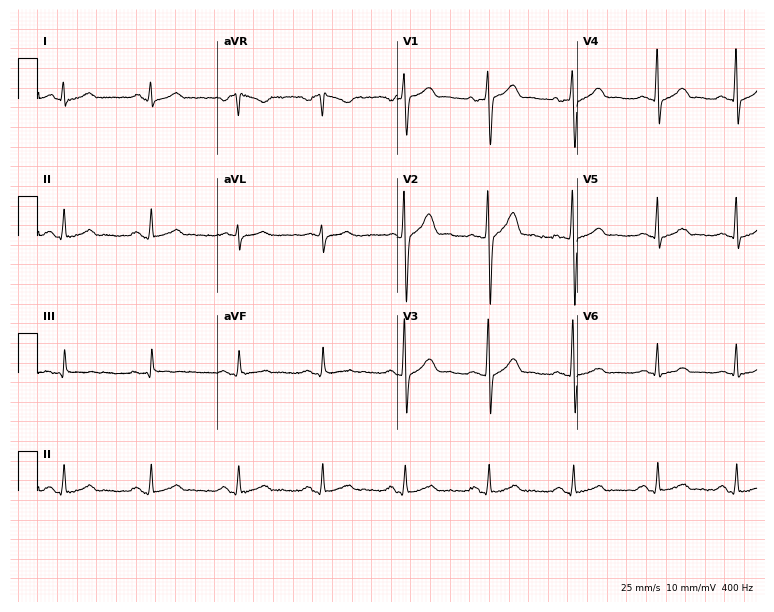
Standard 12-lead ECG recorded from a 36-year-old male patient. None of these six findings is recorded: first-degree AV block, right bundle branch block (RBBB), left bundle branch block (LBBB), sinus bradycardia, atrial fibrillation (AF), sinus tachycardia. Other findings, if any, are not listed.